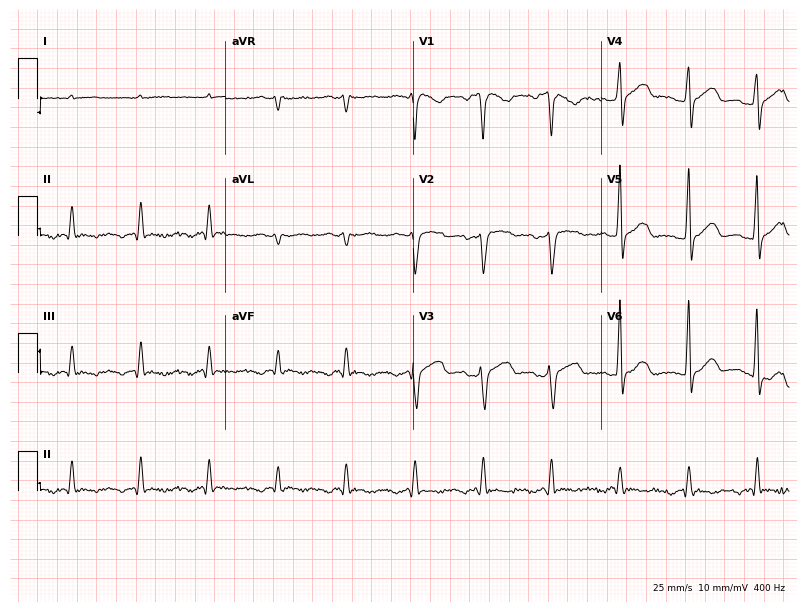
Standard 12-lead ECG recorded from a woman, 68 years old (7.7-second recording at 400 Hz). None of these six findings is recorded: first-degree AV block, right bundle branch block, left bundle branch block, sinus bradycardia, atrial fibrillation, sinus tachycardia. Only these six findings were labelled.